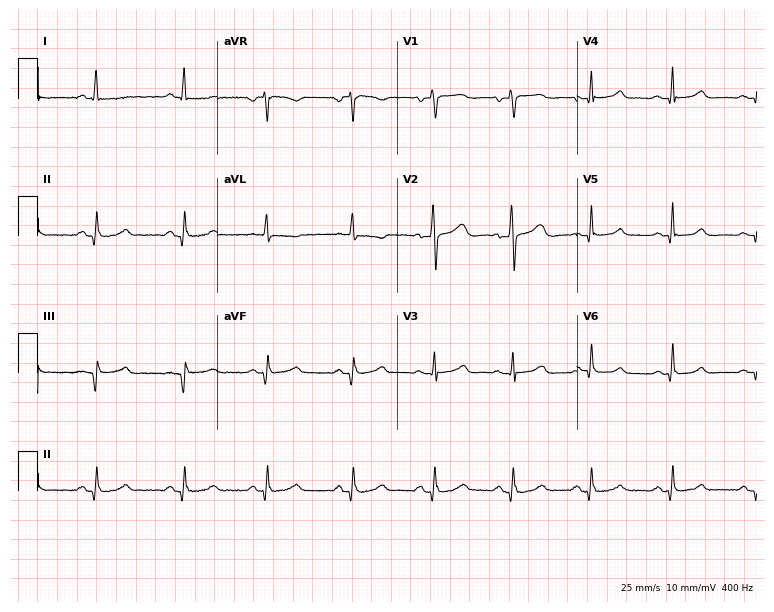
Electrocardiogram (7.3-second recording at 400 Hz), a woman, 47 years old. Of the six screened findings (first-degree AV block, right bundle branch block, left bundle branch block, sinus bradycardia, atrial fibrillation, sinus tachycardia), none is recorded. Other findings, if any, are not listed.